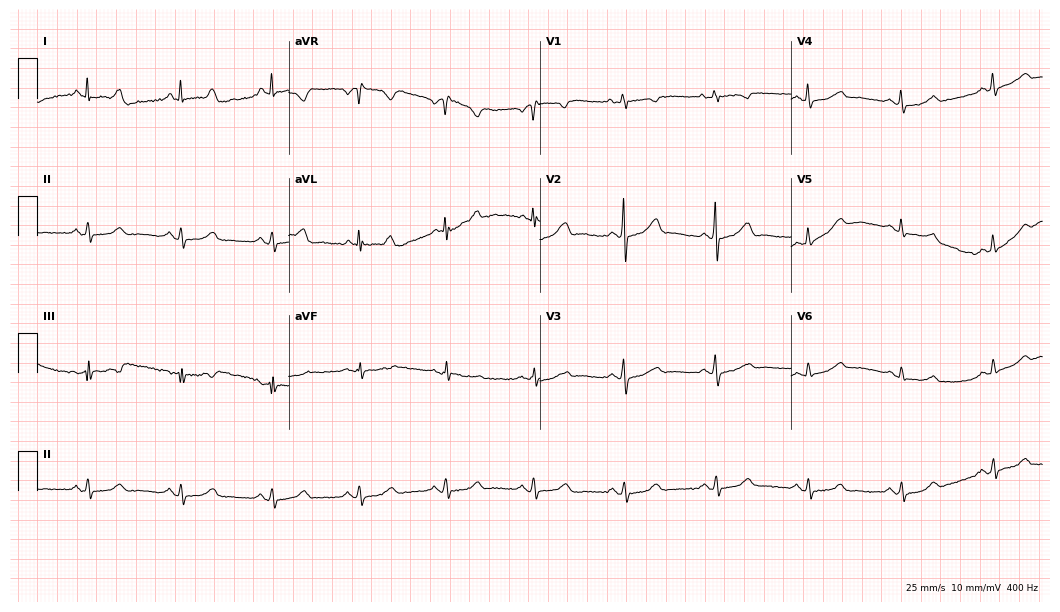
Resting 12-lead electrocardiogram. Patient: a female, 72 years old. Read as a normal ECG.